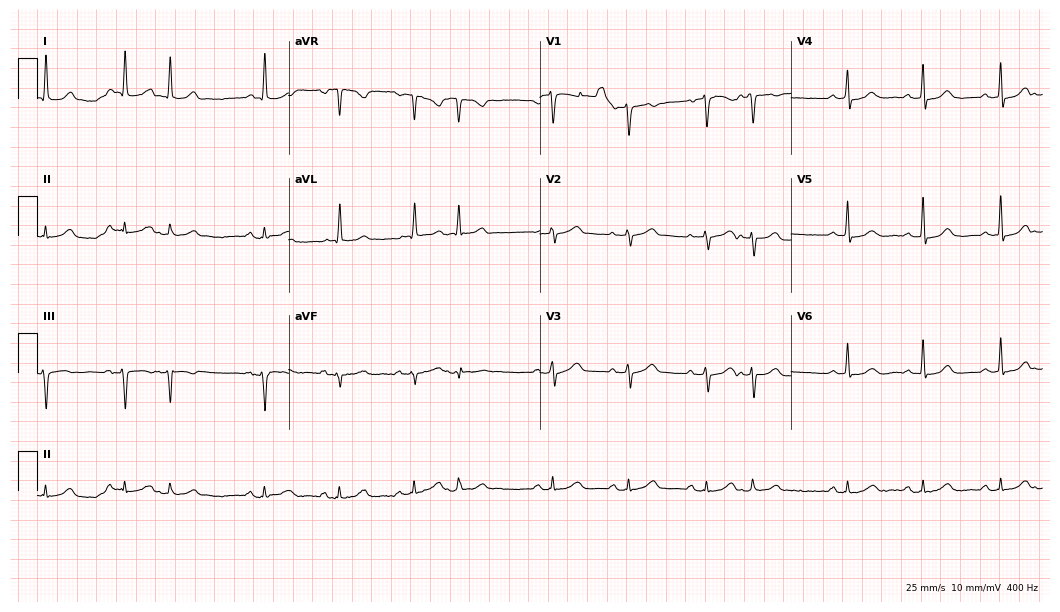
ECG — a 61-year-old woman. Screened for six findings — first-degree AV block, right bundle branch block (RBBB), left bundle branch block (LBBB), sinus bradycardia, atrial fibrillation (AF), sinus tachycardia — none is recorded.